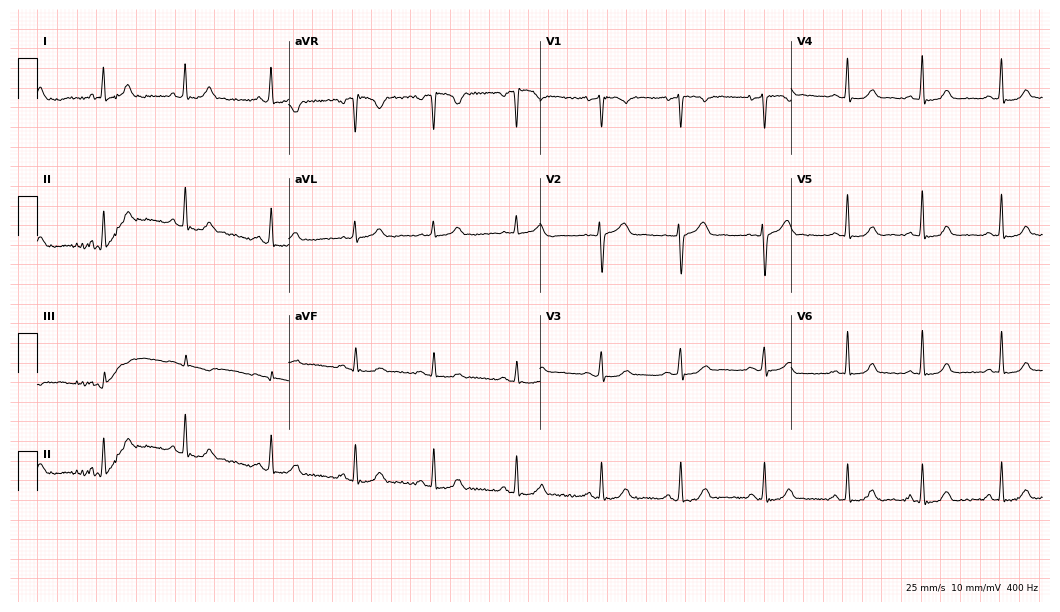
Electrocardiogram, a 37-year-old female. Of the six screened findings (first-degree AV block, right bundle branch block, left bundle branch block, sinus bradycardia, atrial fibrillation, sinus tachycardia), none is recorded. Findings outside these six are not listed.